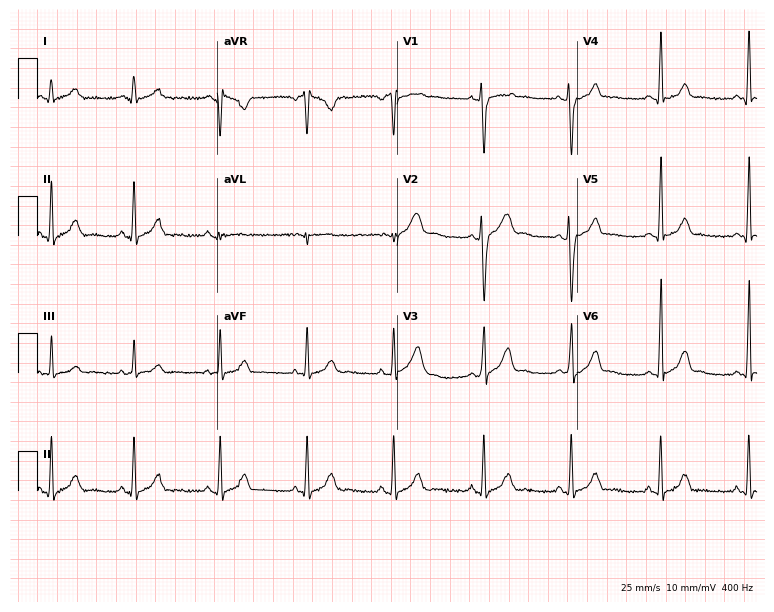
Resting 12-lead electrocardiogram (7.3-second recording at 400 Hz). Patient: a woman, 24 years old. None of these six findings is recorded: first-degree AV block, right bundle branch block, left bundle branch block, sinus bradycardia, atrial fibrillation, sinus tachycardia. Only these six findings were labelled.